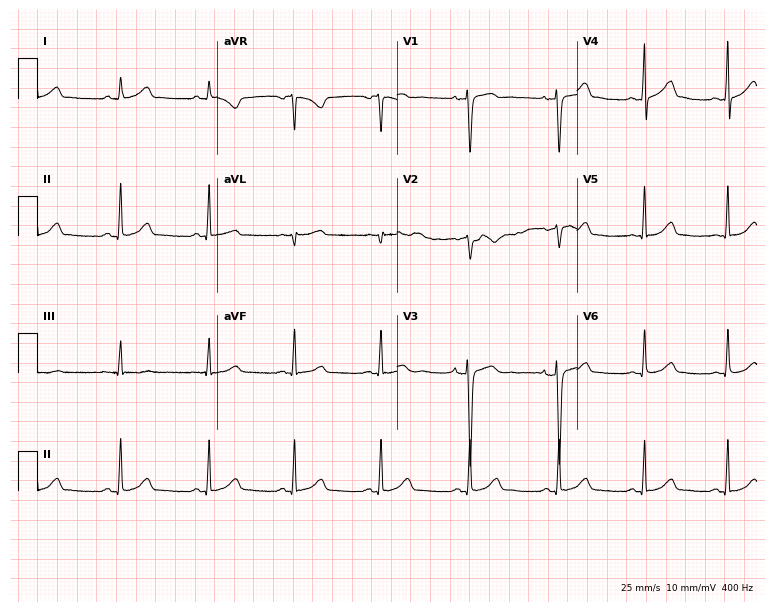
12-lead ECG from a 29-year-old woman. Labelled as a normal ECG.